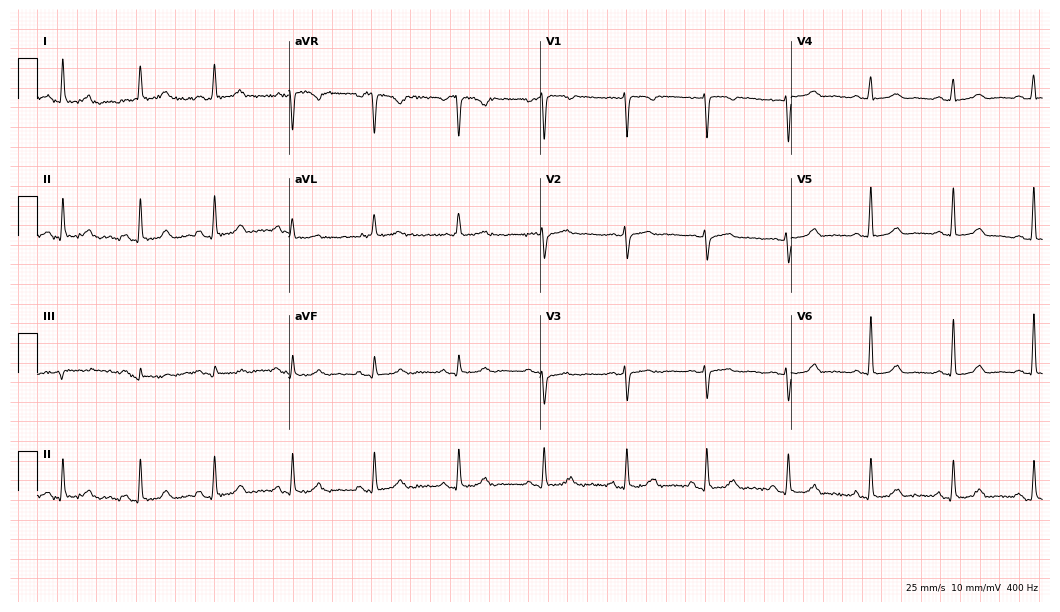
Standard 12-lead ECG recorded from a 68-year-old woman. None of these six findings is recorded: first-degree AV block, right bundle branch block (RBBB), left bundle branch block (LBBB), sinus bradycardia, atrial fibrillation (AF), sinus tachycardia.